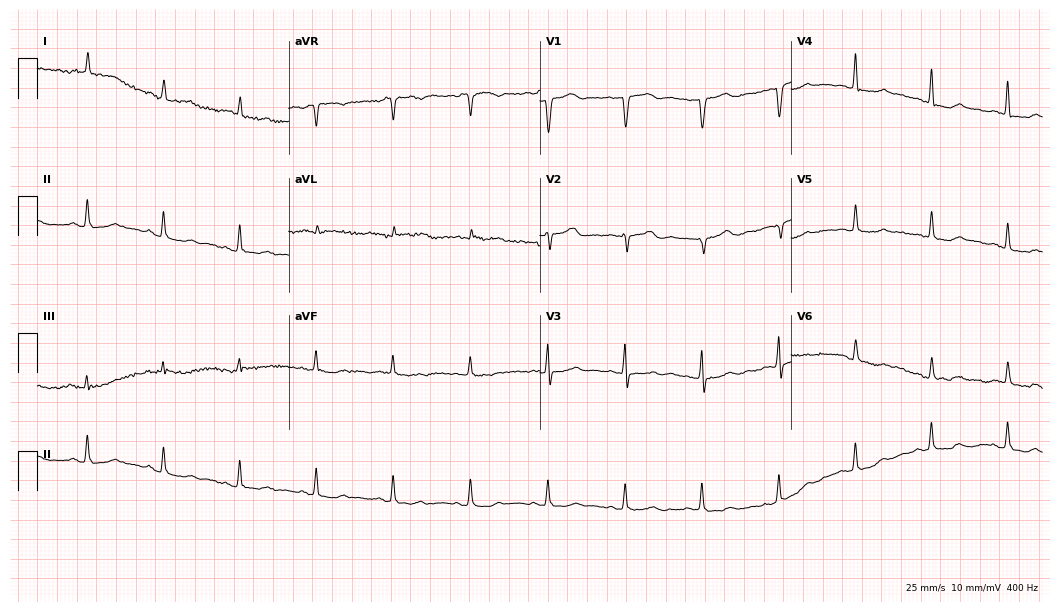
12-lead ECG from a 78-year-old woman. Recorded interpretation: within normal limits.